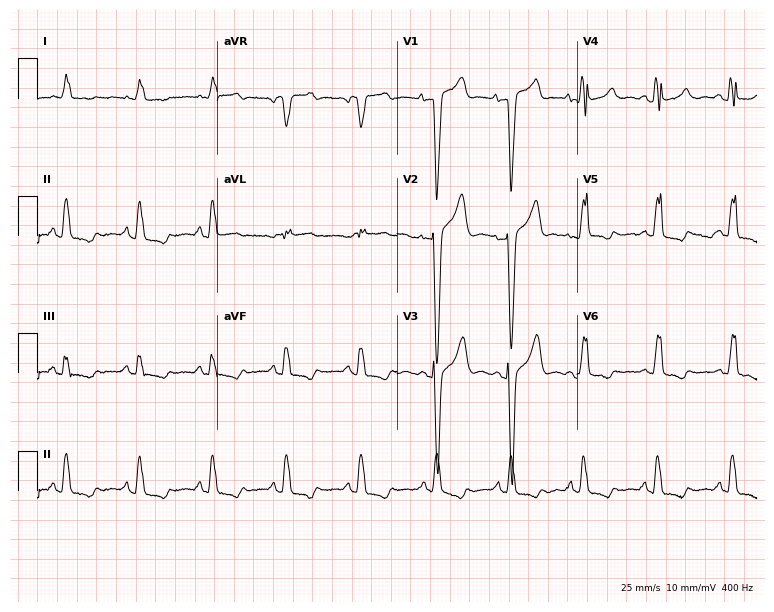
Standard 12-lead ECG recorded from a female patient, 72 years old. None of these six findings is recorded: first-degree AV block, right bundle branch block, left bundle branch block, sinus bradycardia, atrial fibrillation, sinus tachycardia. Other findings, if any, are not listed.